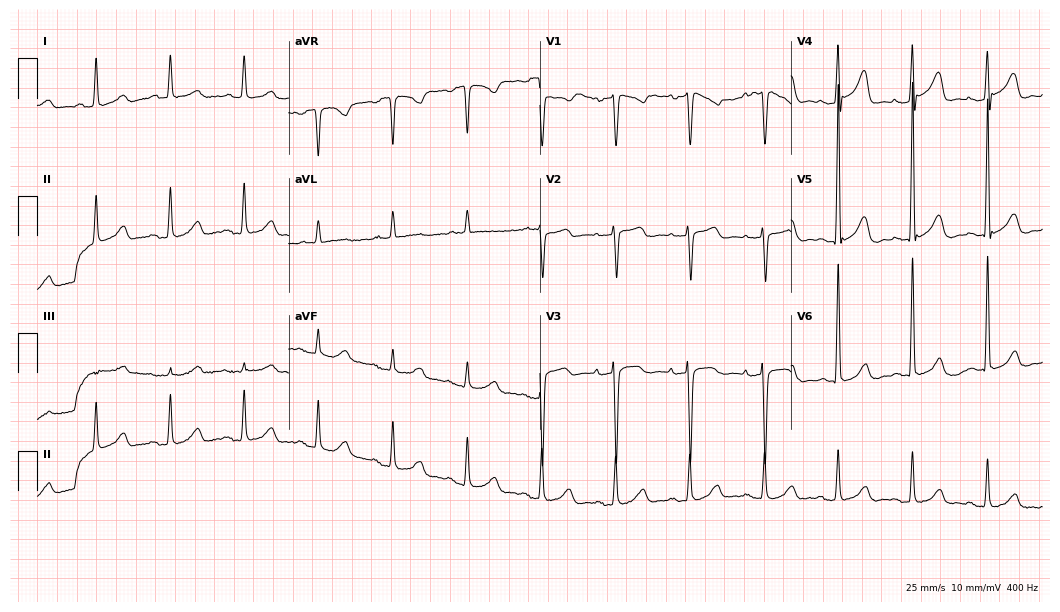
Resting 12-lead electrocardiogram. Patient: a woman, 71 years old. None of these six findings is recorded: first-degree AV block, right bundle branch block, left bundle branch block, sinus bradycardia, atrial fibrillation, sinus tachycardia. Other findings, if any, are not listed.